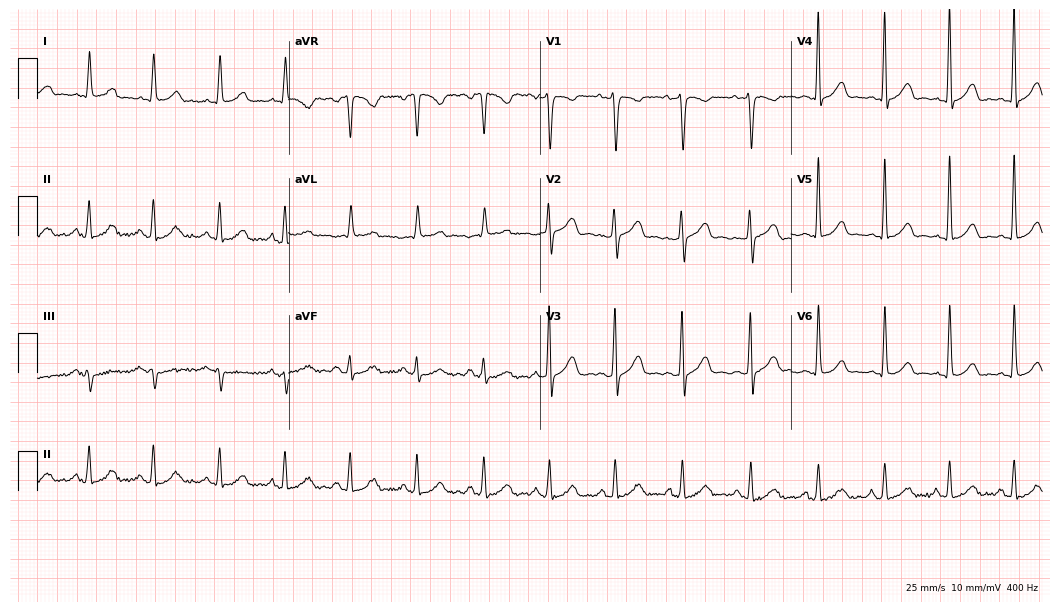
12-lead ECG (10.2-second recording at 400 Hz) from a female, 48 years old. Labelled as a normal ECG.